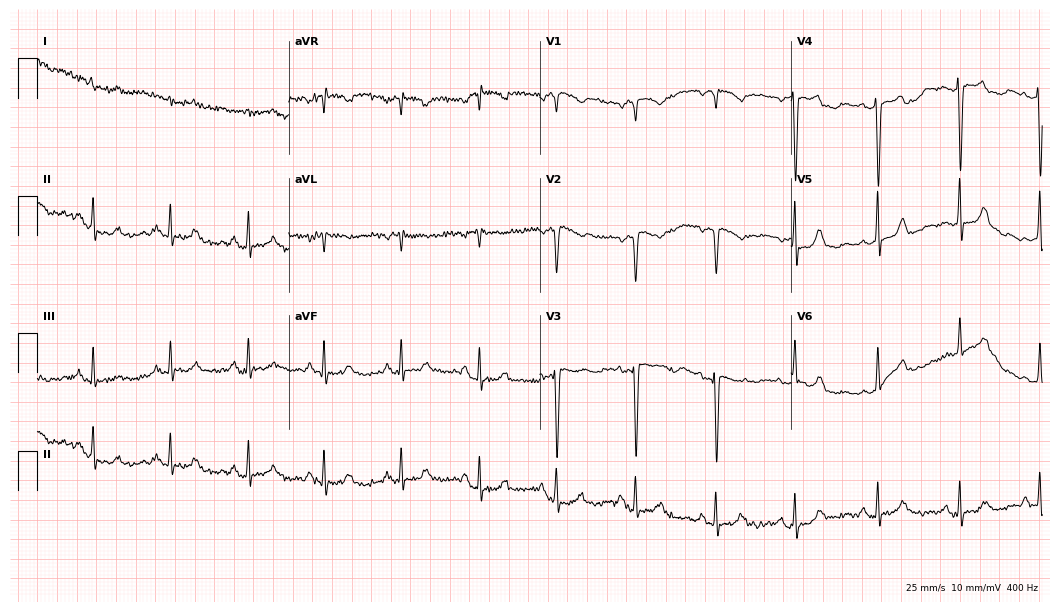
12-lead ECG from a female, 85 years old. Screened for six findings — first-degree AV block, right bundle branch block, left bundle branch block, sinus bradycardia, atrial fibrillation, sinus tachycardia — none is recorded. Only these six findings were labelled.